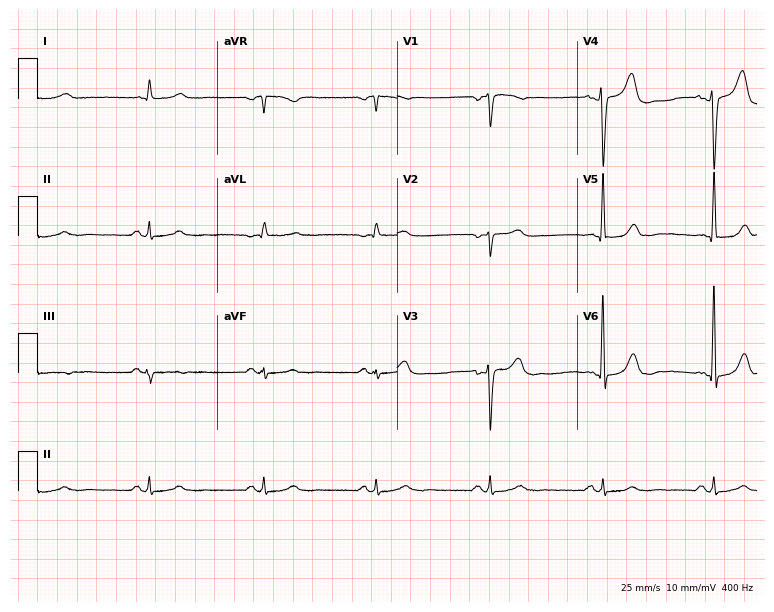
12-lead ECG from a male patient, 69 years old. Recorded interpretation: within normal limits.